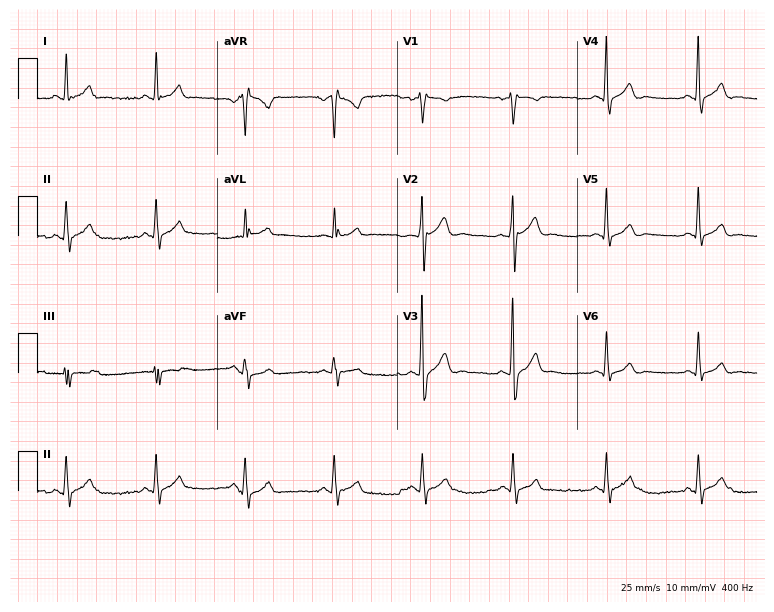
12-lead ECG from a 27-year-old male patient (7.3-second recording at 400 Hz). No first-degree AV block, right bundle branch block (RBBB), left bundle branch block (LBBB), sinus bradycardia, atrial fibrillation (AF) or sinus tachycardia recorded for this tracing. Other findings, if any, are not listed.